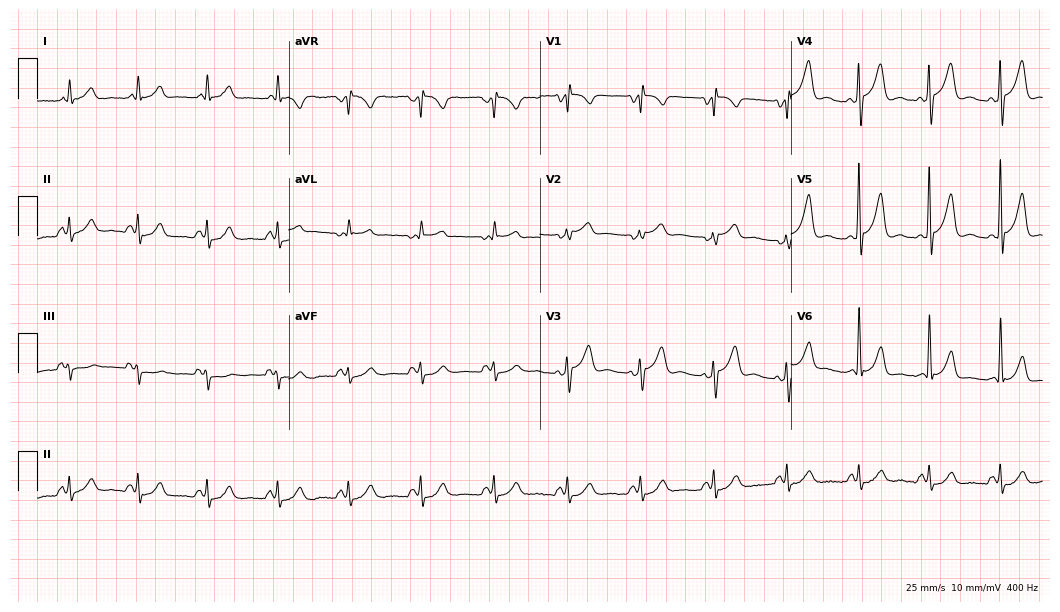
Resting 12-lead electrocardiogram. Patient: a man, 60 years old. None of these six findings is recorded: first-degree AV block, right bundle branch block, left bundle branch block, sinus bradycardia, atrial fibrillation, sinus tachycardia. Findings outside these six are not listed.